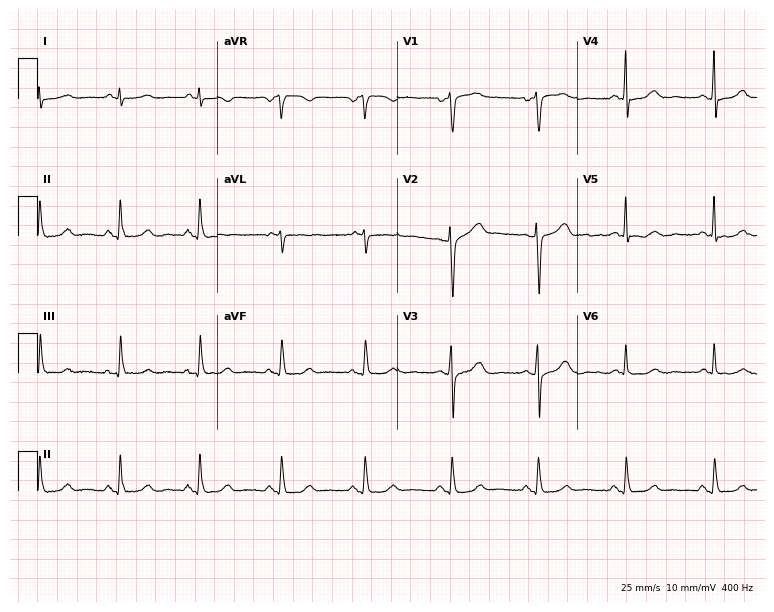
12-lead ECG (7.3-second recording at 400 Hz) from a 57-year-old woman. Labelled as a normal ECG.